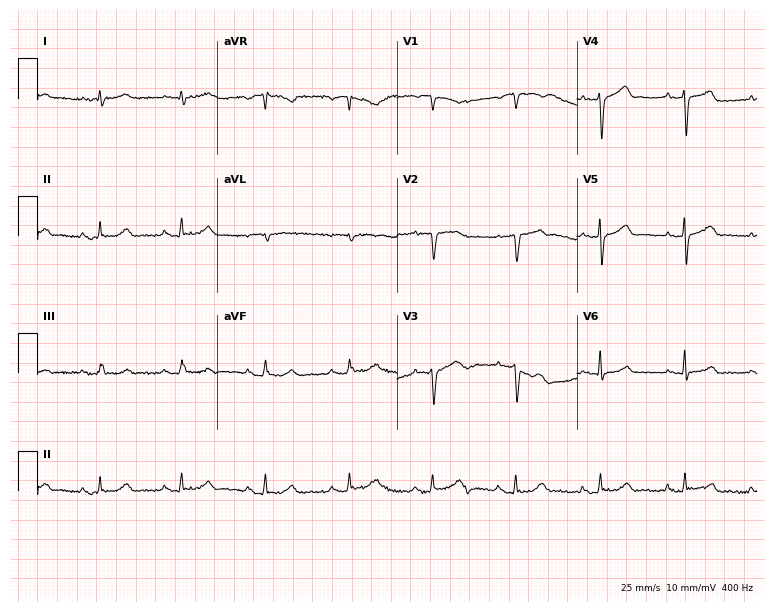
Resting 12-lead electrocardiogram (7.3-second recording at 400 Hz). Patient: a man, 62 years old. None of these six findings is recorded: first-degree AV block, right bundle branch block (RBBB), left bundle branch block (LBBB), sinus bradycardia, atrial fibrillation (AF), sinus tachycardia.